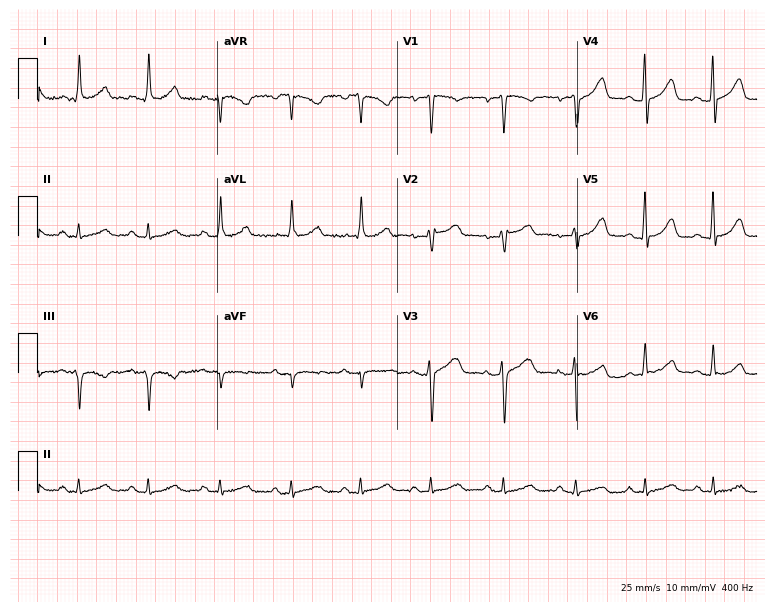
12-lead ECG (7.3-second recording at 400 Hz) from a 52-year-old female patient. Labelled as a normal ECG.